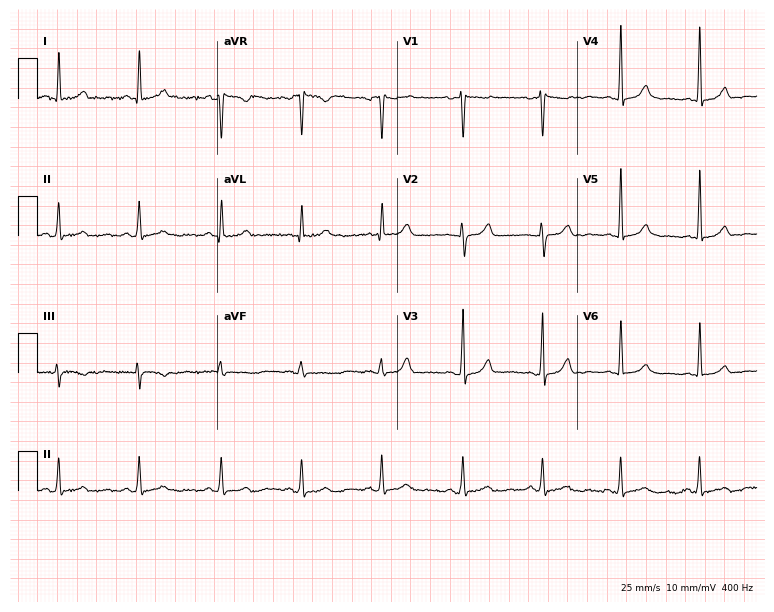
ECG (7.3-second recording at 400 Hz) — a 47-year-old woman. Labelled as a normal ECG.